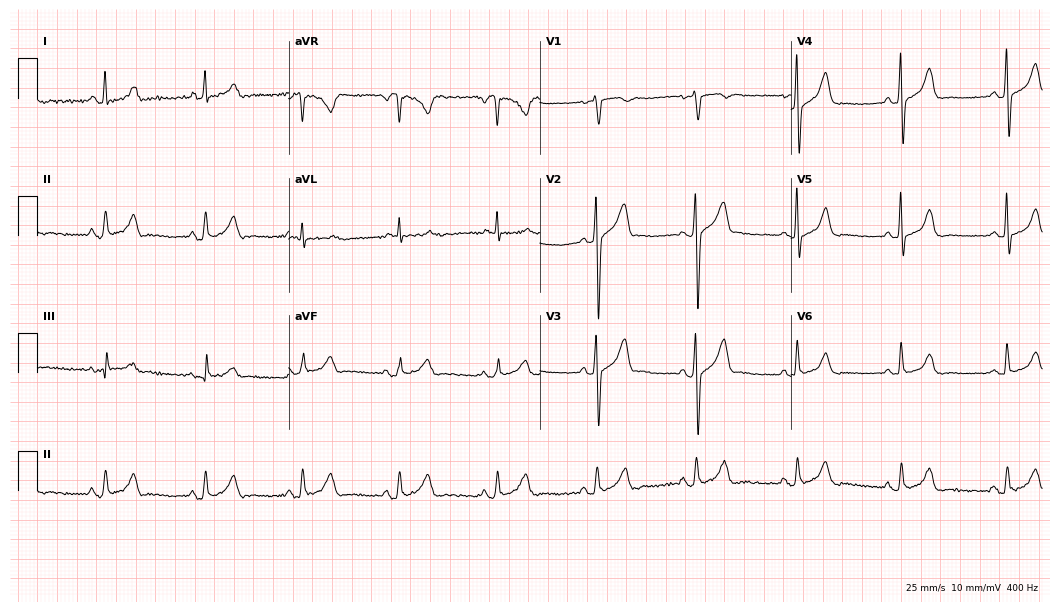
Standard 12-lead ECG recorded from a 54-year-old man. Read as a normal ECG.